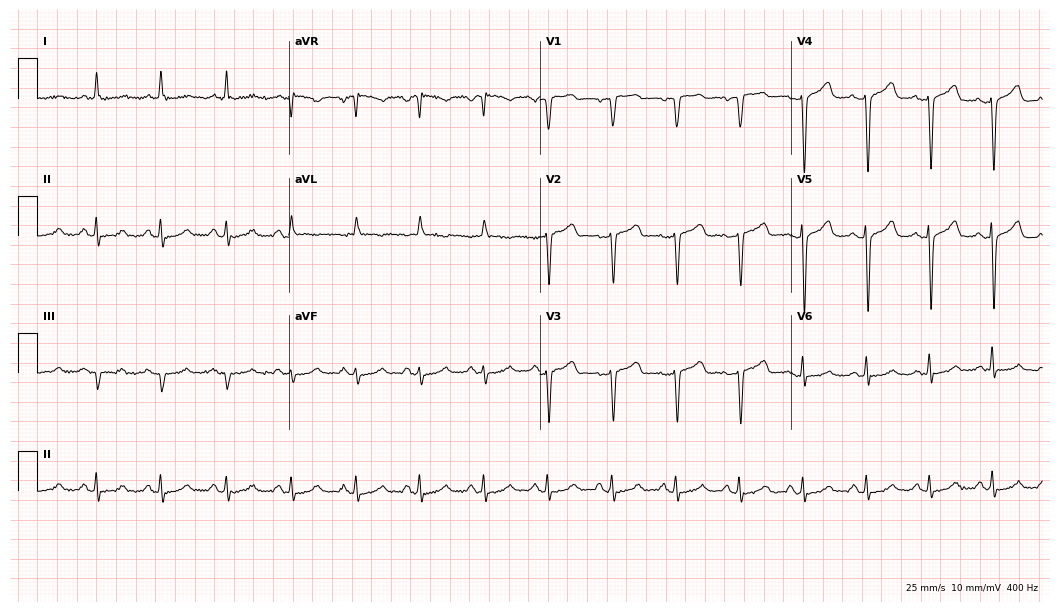
Resting 12-lead electrocardiogram. Patient: a woman, 55 years old. None of these six findings is recorded: first-degree AV block, right bundle branch block, left bundle branch block, sinus bradycardia, atrial fibrillation, sinus tachycardia.